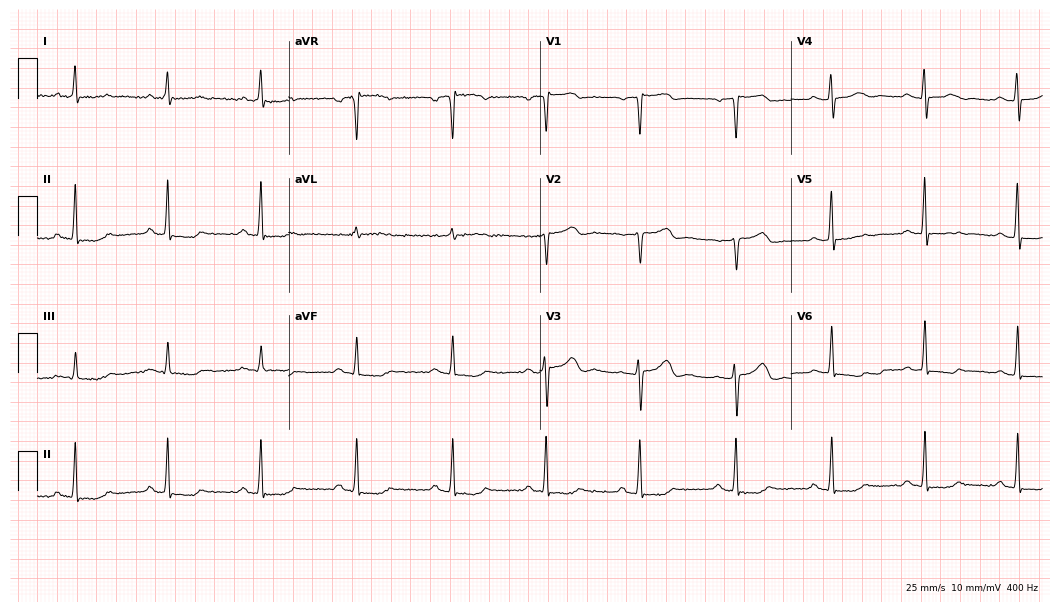
Standard 12-lead ECG recorded from a female, 76 years old. None of these six findings is recorded: first-degree AV block, right bundle branch block, left bundle branch block, sinus bradycardia, atrial fibrillation, sinus tachycardia. Only these six findings were labelled.